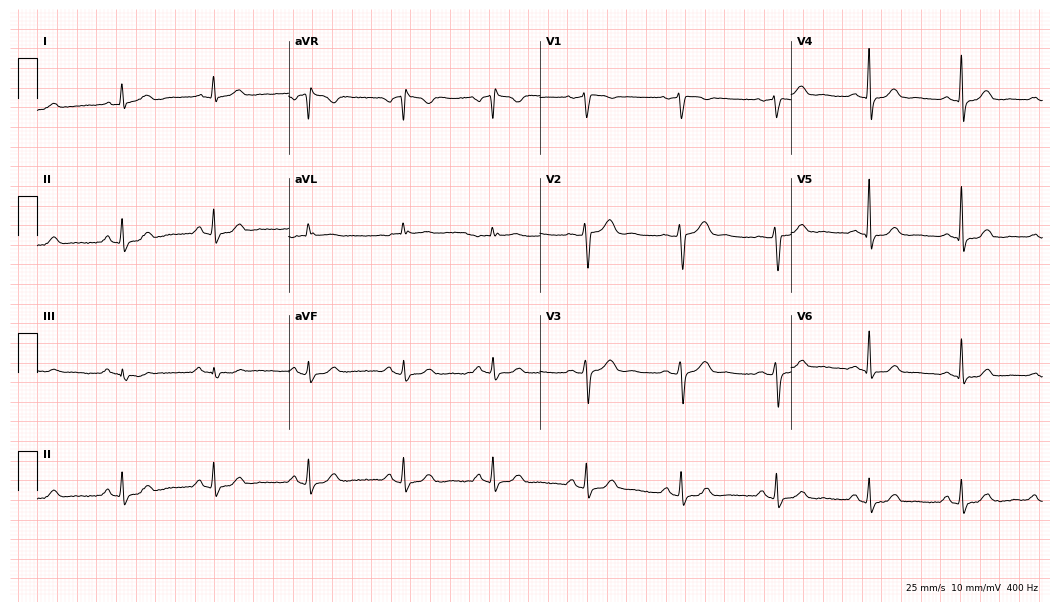
Resting 12-lead electrocardiogram. Patient: a 51-year-old woman. None of these six findings is recorded: first-degree AV block, right bundle branch block, left bundle branch block, sinus bradycardia, atrial fibrillation, sinus tachycardia. Other findings, if any, are not listed.